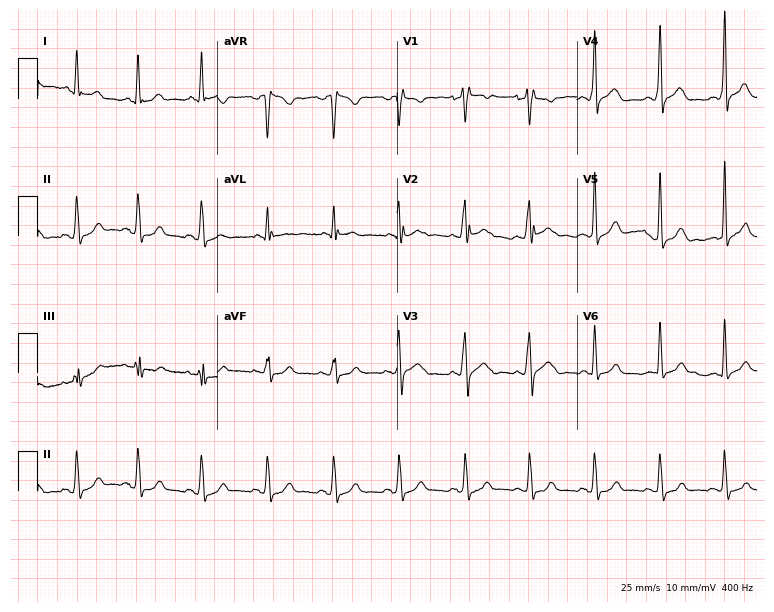
ECG — a man, 22 years old. Screened for six findings — first-degree AV block, right bundle branch block (RBBB), left bundle branch block (LBBB), sinus bradycardia, atrial fibrillation (AF), sinus tachycardia — none is recorded. Findings outside these six are not listed.